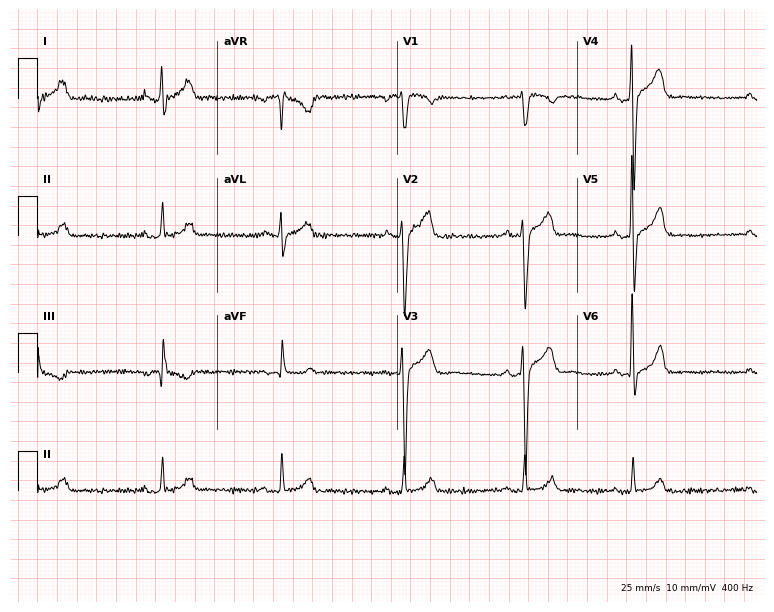
12-lead ECG from a 35-year-old male patient (7.3-second recording at 400 Hz). Shows sinus bradycardia (a sinus rate of 50 beats per minute or less).